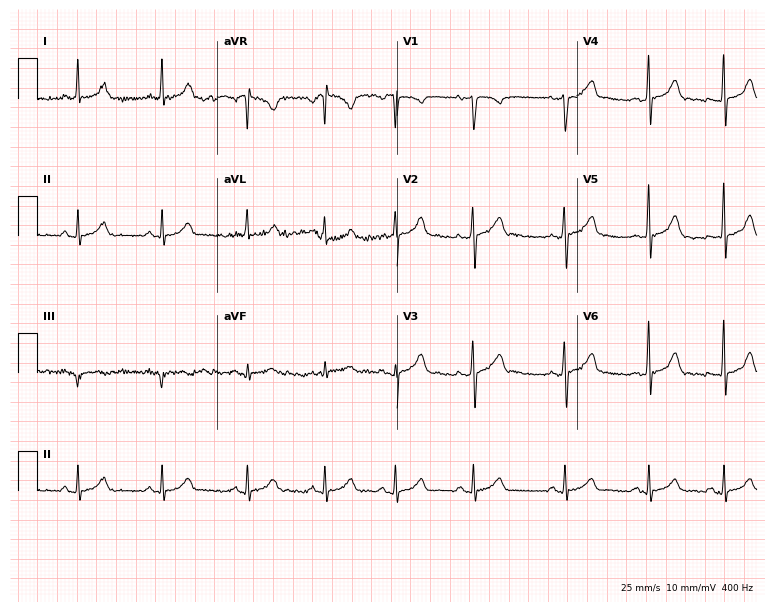
Standard 12-lead ECG recorded from a 33-year-old female patient (7.3-second recording at 400 Hz). Read as a normal ECG.